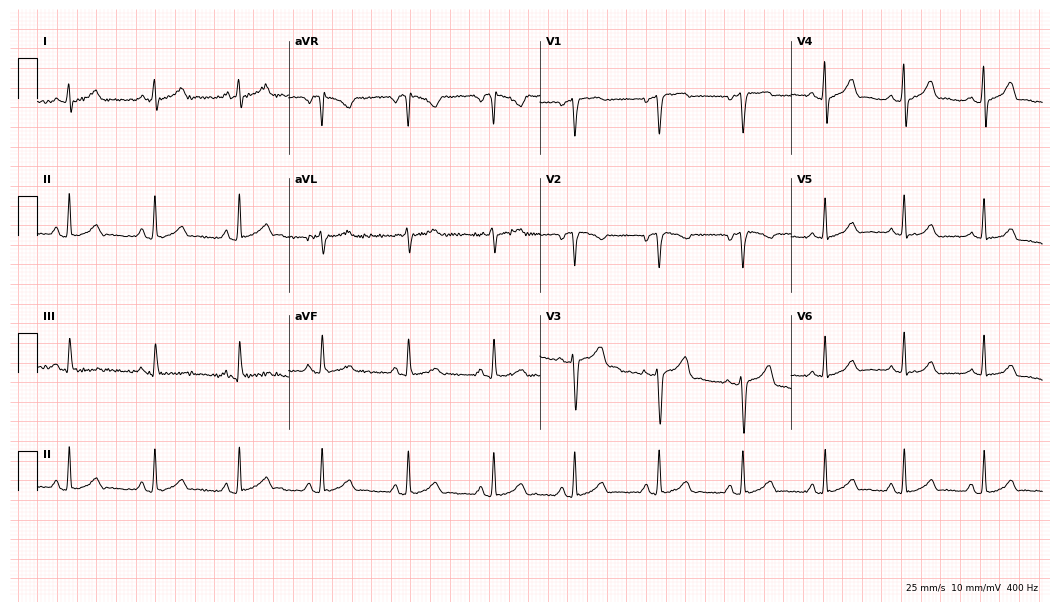
Standard 12-lead ECG recorded from a female patient, 29 years old. Read as a normal ECG.